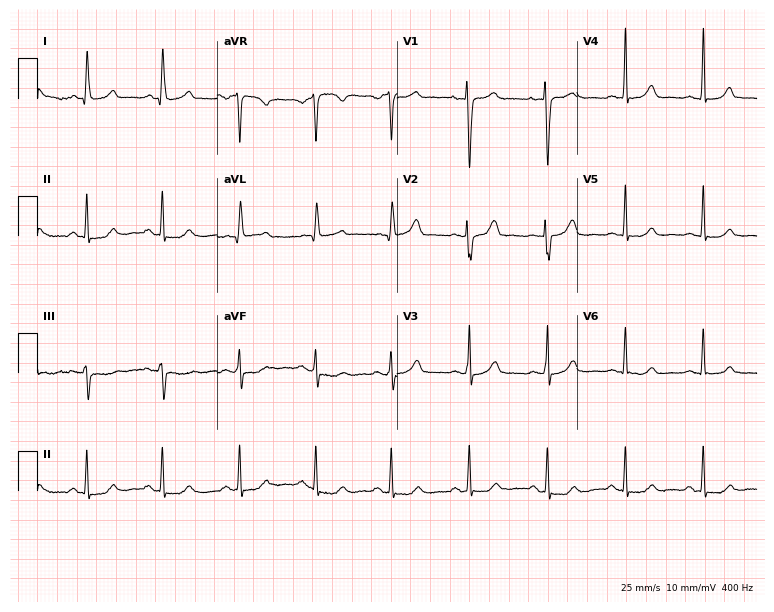
12-lead ECG (7.3-second recording at 400 Hz) from a 43-year-old woman. Screened for six findings — first-degree AV block, right bundle branch block, left bundle branch block, sinus bradycardia, atrial fibrillation, sinus tachycardia — none is recorded. Only these six findings were labelled.